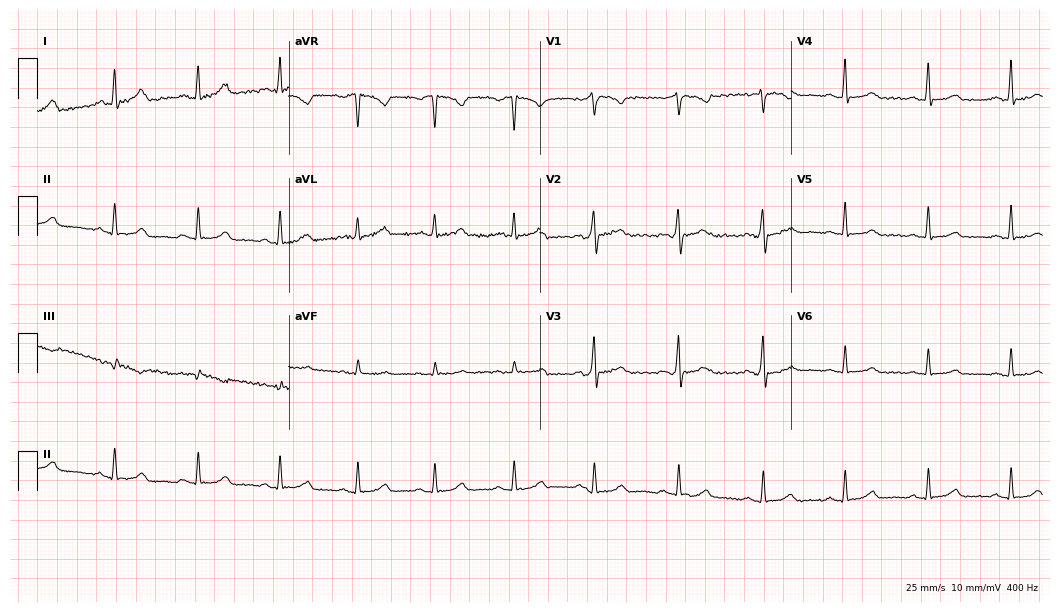
Electrocardiogram (10.2-second recording at 400 Hz), a female patient, 34 years old. Overall reading on record: normal ECG.